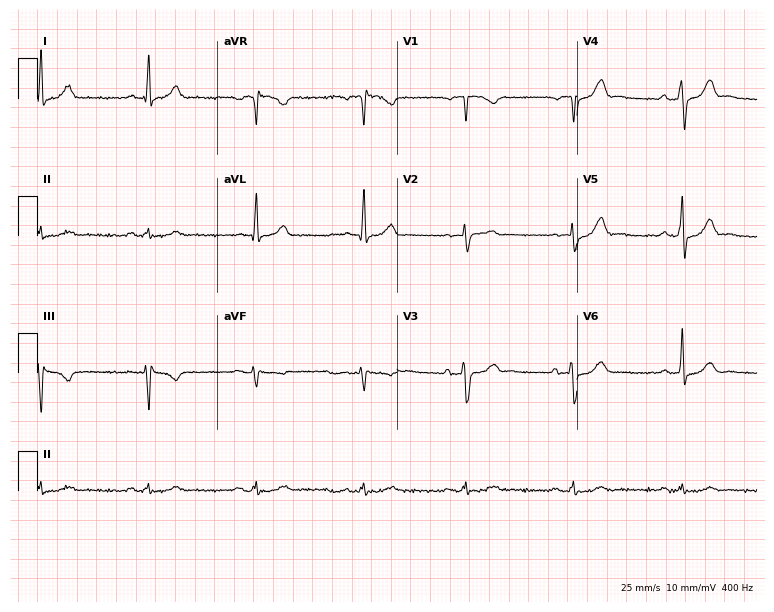
Standard 12-lead ECG recorded from a man, 74 years old. None of these six findings is recorded: first-degree AV block, right bundle branch block, left bundle branch block, sinus bradycardia, atrial fibrillation, sinus tachycardia.